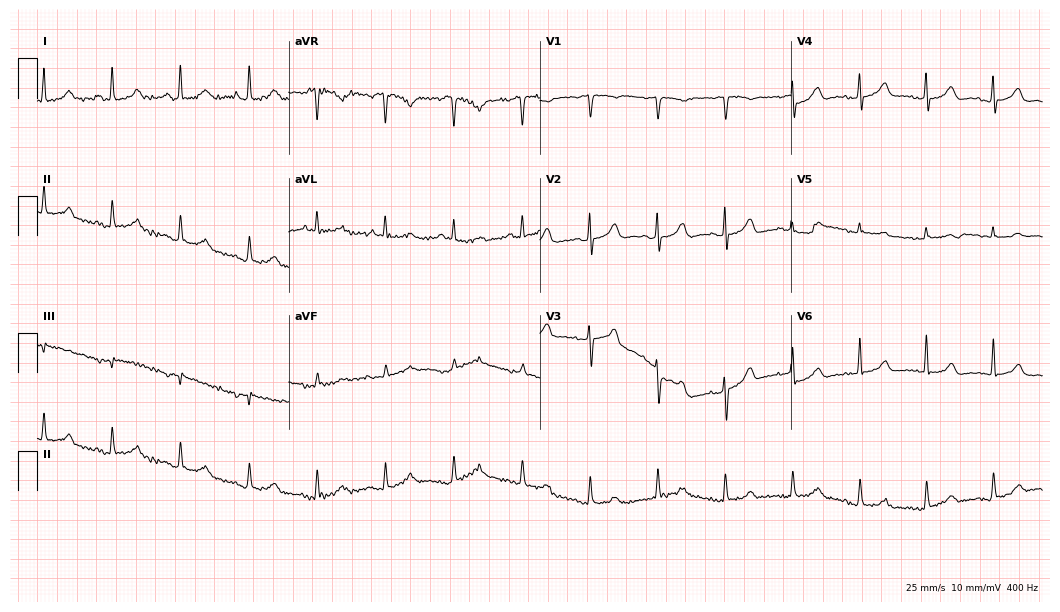
Resting 12-lead electrocardiogram. Patient: a female, 79 years old. Read as a normal ECG.